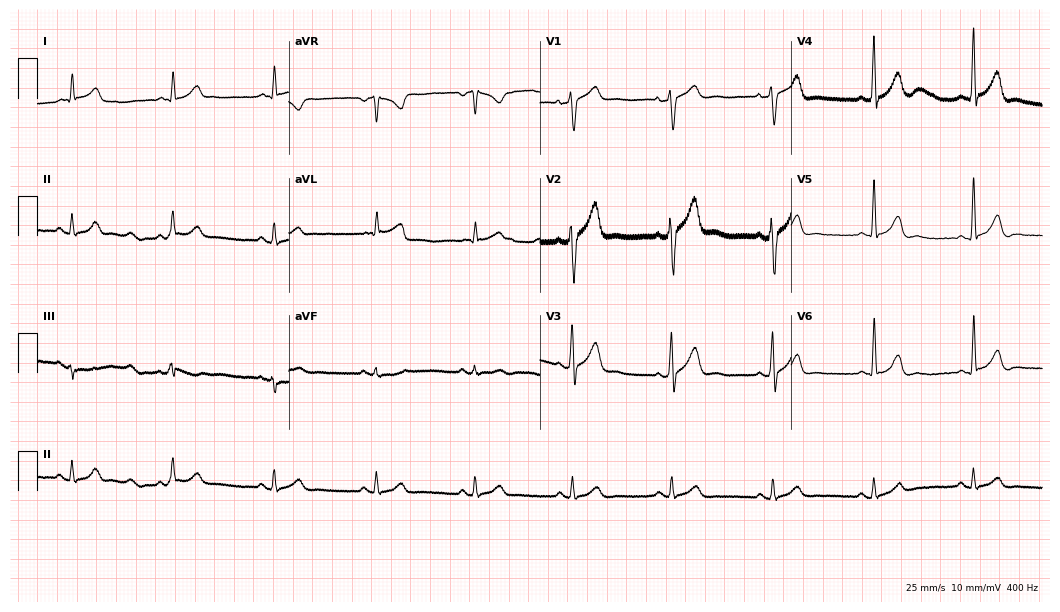
12-lead ECG (10.2-second recording at 400 Hz) from a 45-year-old male patient. Labelled as a normal ECG.